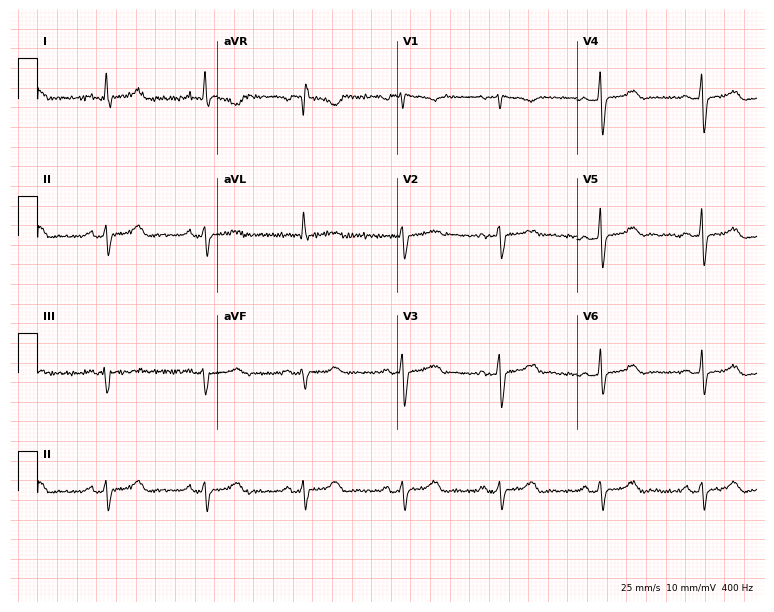
Resting 12-lead electrocardiogram. Patient: a 57-year-old woman. None of these six findings is recorded: first-degree AV block, right bundle branch block, left bundle branch block, sinus bradycardia, atrial fibrillation, sinus tachycardia. Only these six findings were labelled.